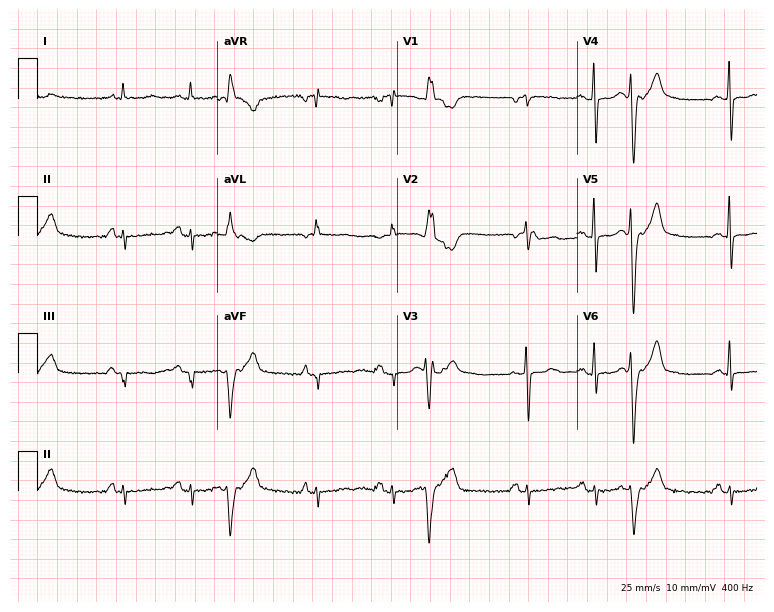
Resting 12-lead electrocardiogram (7.3-second recording at 400 Hz). Patient: a female, 65 years old. None of these six findings is recorded: first-degree AV block, right bundle branch block (RBBB), left bundle branch block (LBBB), sinus bradycardia, atrial fibrillation (AF), sinus tachycardia. Only these six findings were labelled.